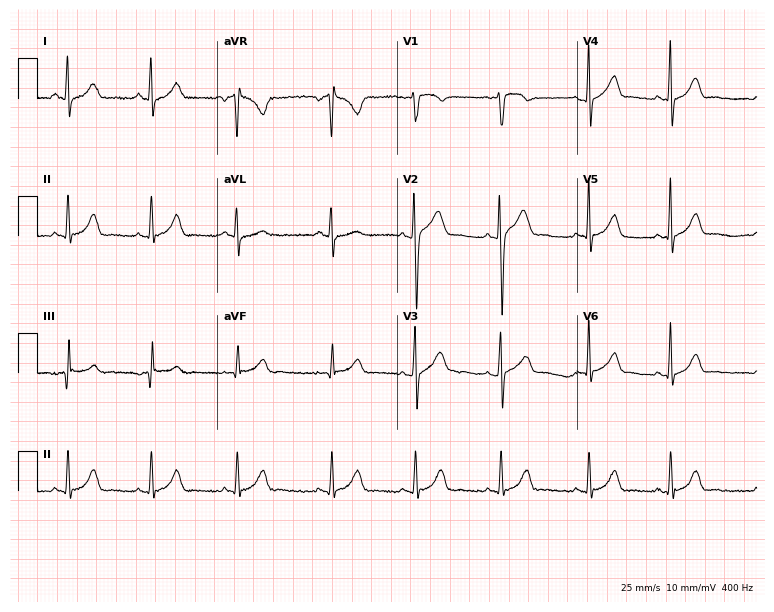
ECG — a man, 17 years old. Screened for six findings — first-degree AV block, right bundle branch block (RBBB), left bundle branch block (LBBB), sinus bradycardia, atrial fibrillation (AF), sinus tachycardia — none is recorded.